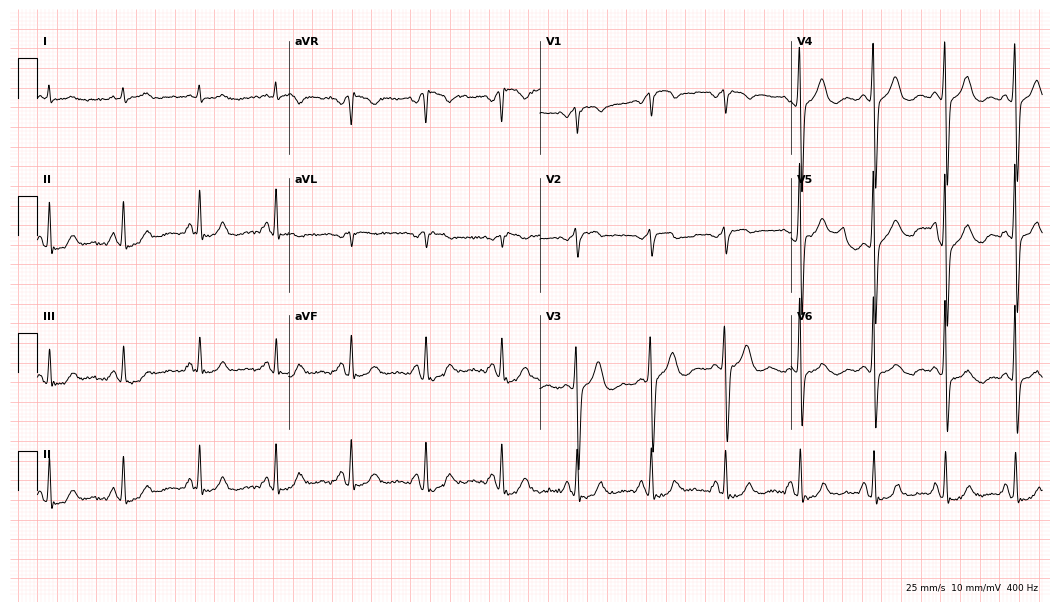
Electrocardiogram (10.2-second recording at 400 Hz), a 54-year-old man. Of the six screened findings (first-degree AV block, right bundle branch block (RBBB), left bundle branch block (LBBB), sinus bradycardia, atrial fibrillation (AF), sinus tachycardia), none is recorded.